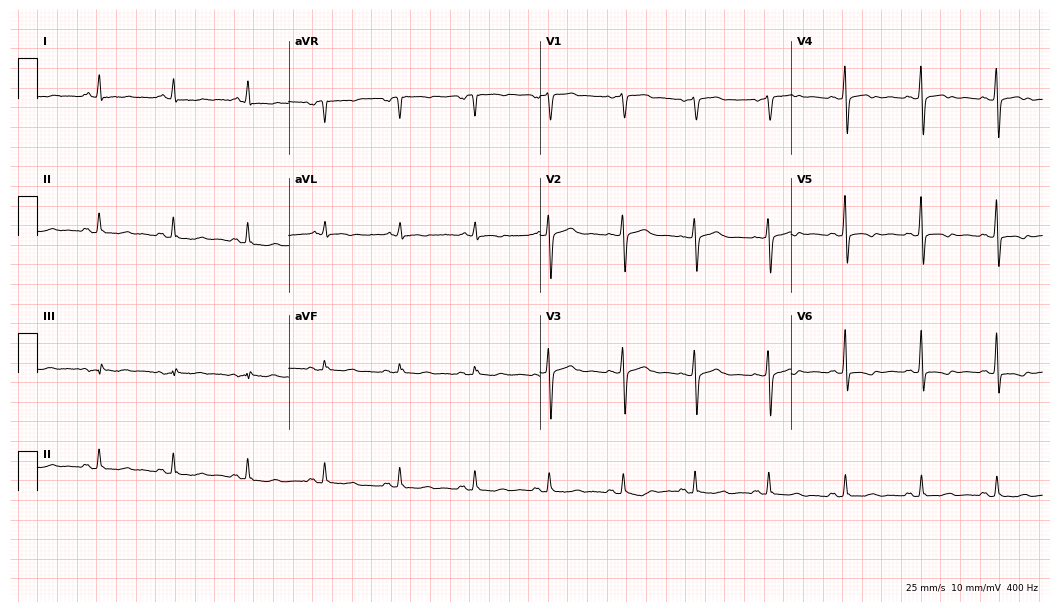
Resting 12-lead electrocardiogram. Patient: a woman, 64 years old. None of these six findings is recorded: first-degree AV block, right bundle branch block, left bundle branch block, sinus bradycardia, atrial fibrillation, sinus tachycardia.